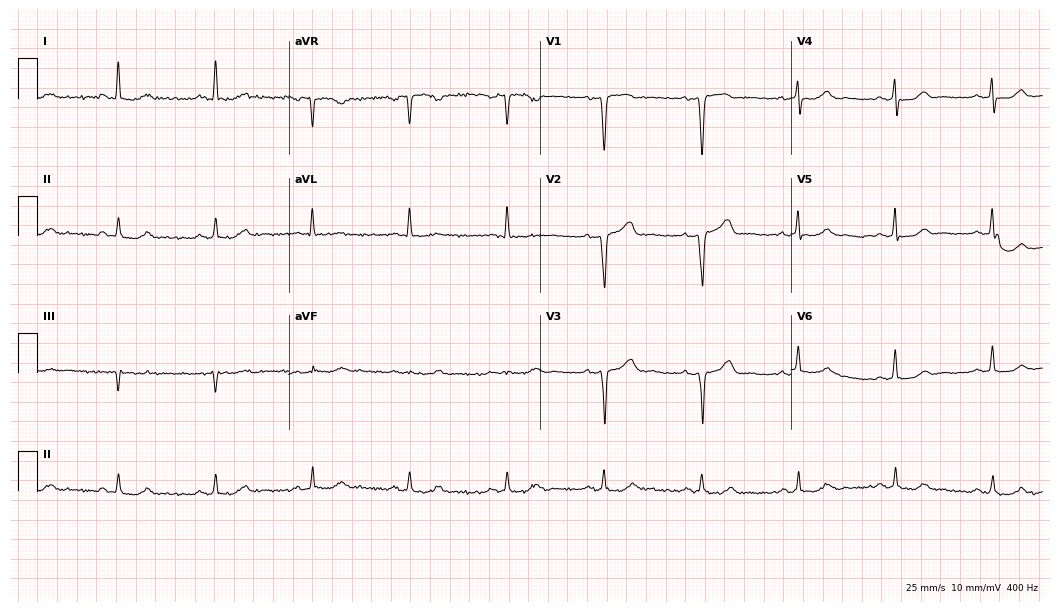
ECG (10.2-second recording at 400 Hz) — a 52-year-old male. Labelled as a normal ECG.